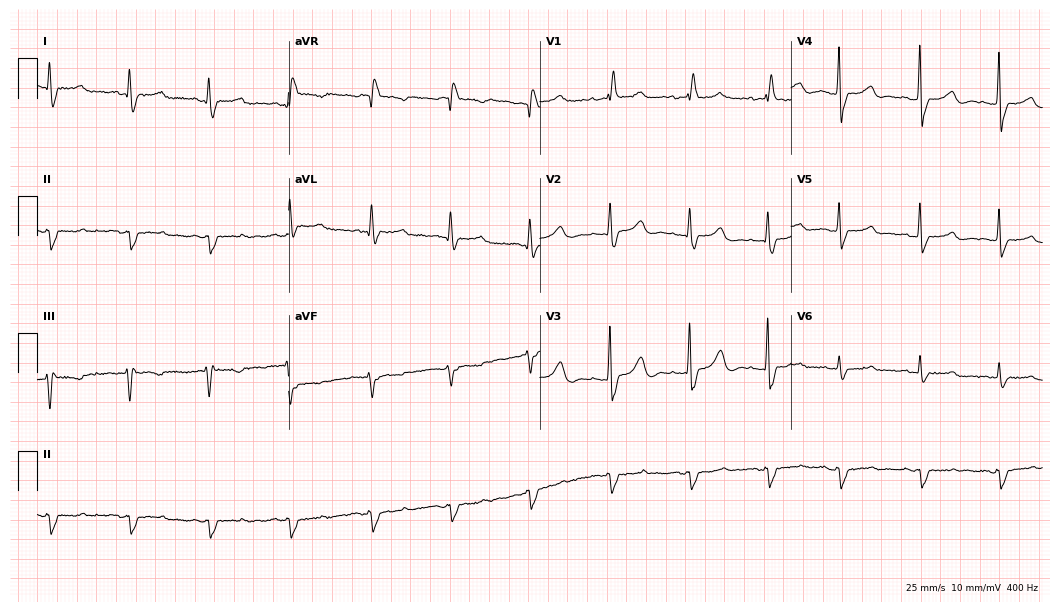
ECG (10.2-second recording at 400 Hz) — a 70-year-old woman. Findings include right bundle branch block (RBBB).